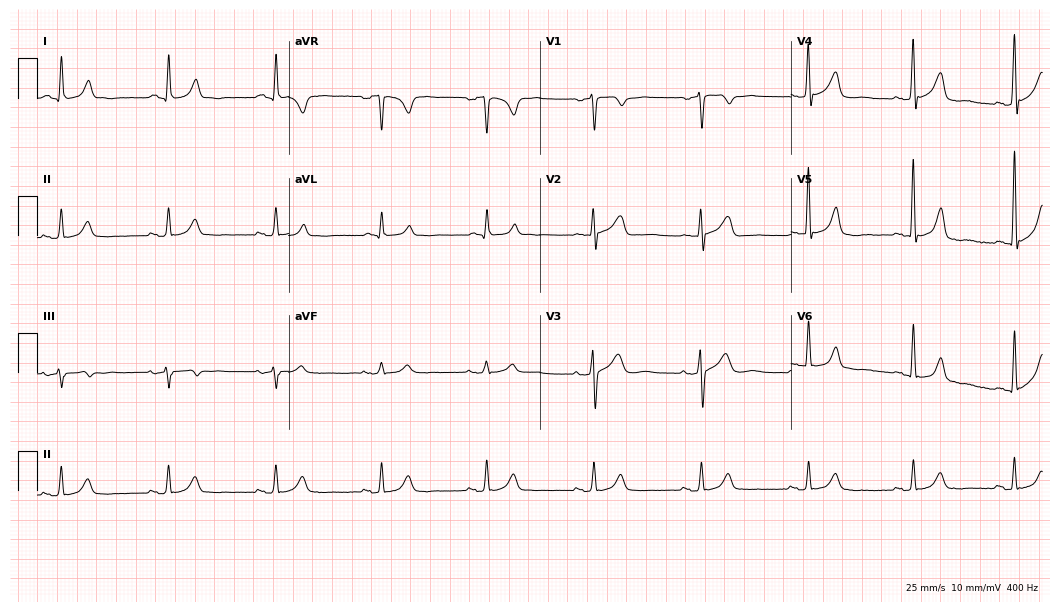
ECG (10.2-second recording at 400 Hz) — a 59-year-old male. Labelled as a normal ECG.